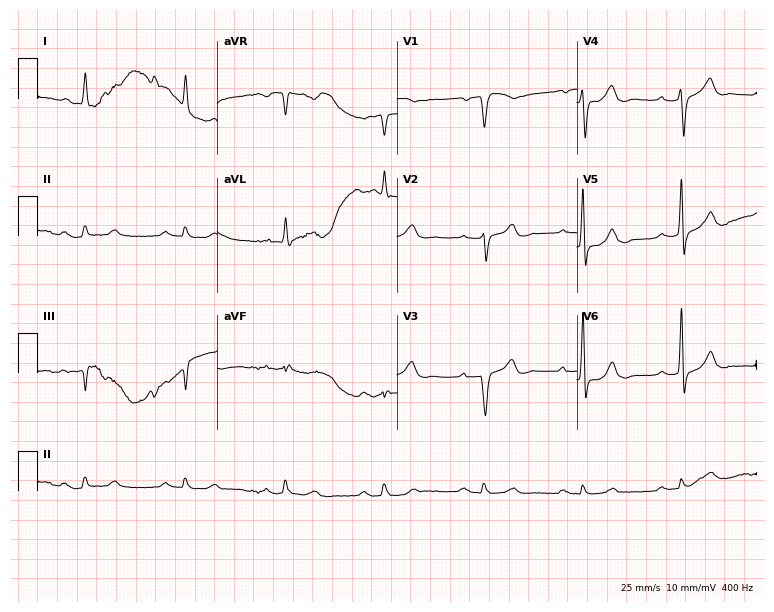
Standard 12-lead ECG recorded from a male patient, 74 years old. The tracing shows first-degree AV block.